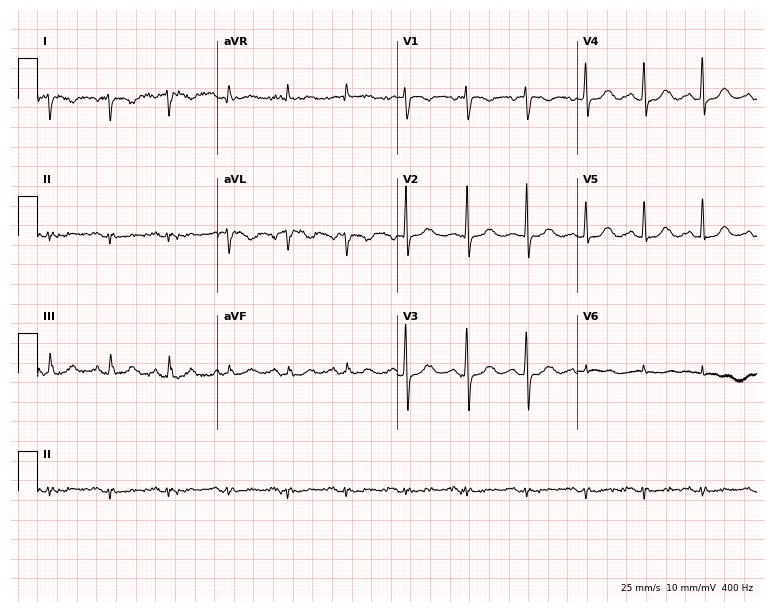
12-lead ECG from an 84-year-old female patient. No first-degree AV block, right bundle branch block, left bundle branch block, sinus bradycardia, atrial fibrillation or sinus tachycardia recorded for this tracing.